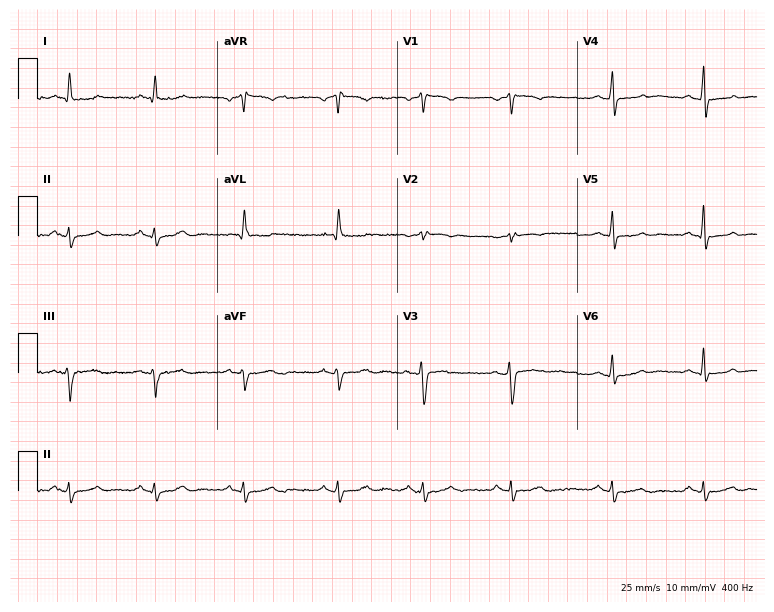
Standard 12-lead ECG recorded from a 56-year-old female. None of these six findings is recorded: first-degree AV block, right bundle branch block (RBBB), left bundle branch block (LBBB), sinus bradycardia, atrial fibrillation (AF), sinus tachycardia. Only these six findings were labelled.